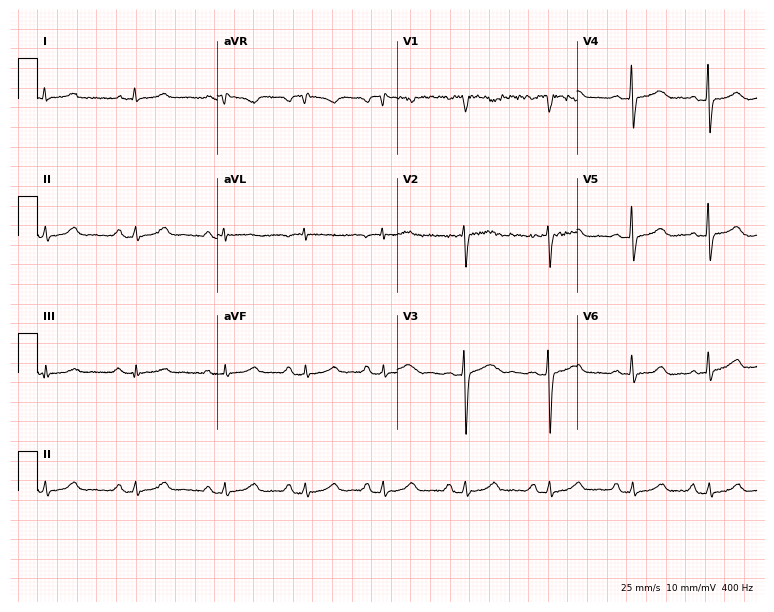
Electrocardiogram (7.3-second recording at 400 Hz), a 45-year-old female. Overall reading on record: normal ECG.